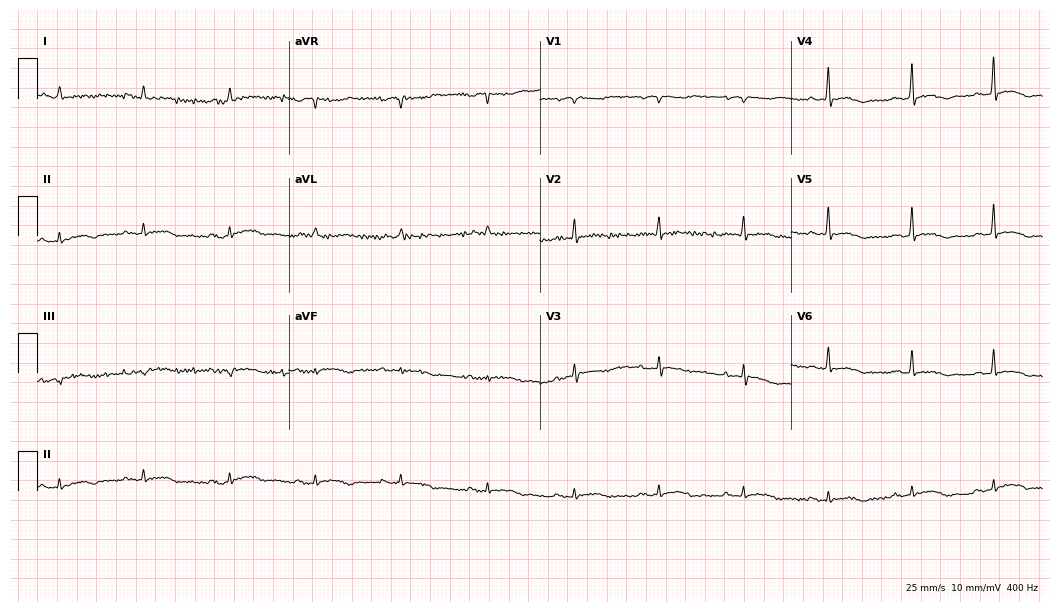
ECG (10.2-second recording at 400 Hz) — a man, 62 years old. Screened for six findings — first-degree AV block, right bundle branch block (RBBB), left bundle branch block (LBBB), sinus bradycardia, atrial fibrillation (AF), sinus tachycardia — none is recorded. Only these six findings were labelled.